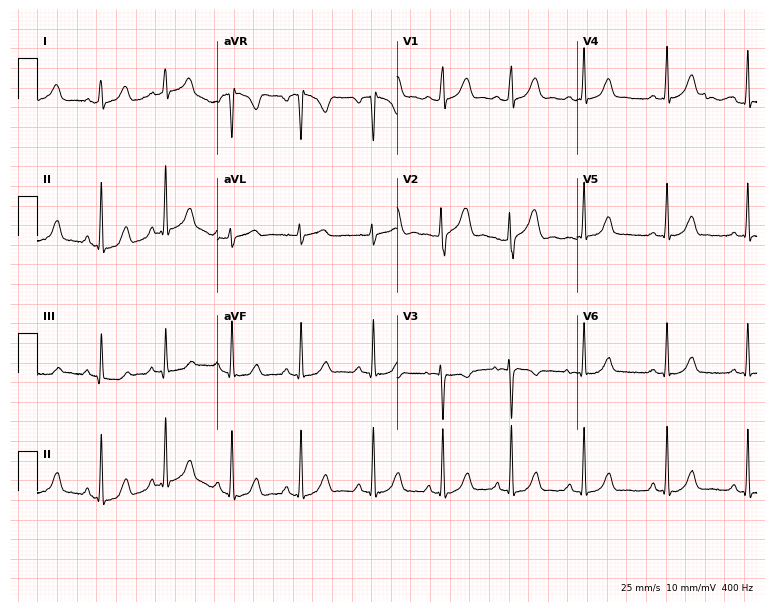
Electrocardiogram (7.3-second recording at 400 Hz), a 19-year-old female patient. Of the six screened findings (first-degree AV block, right bundle branch block, left bundle branch block, sinus bradycardia, atrial fibrillation, sinus tachycardia), none is recorded.